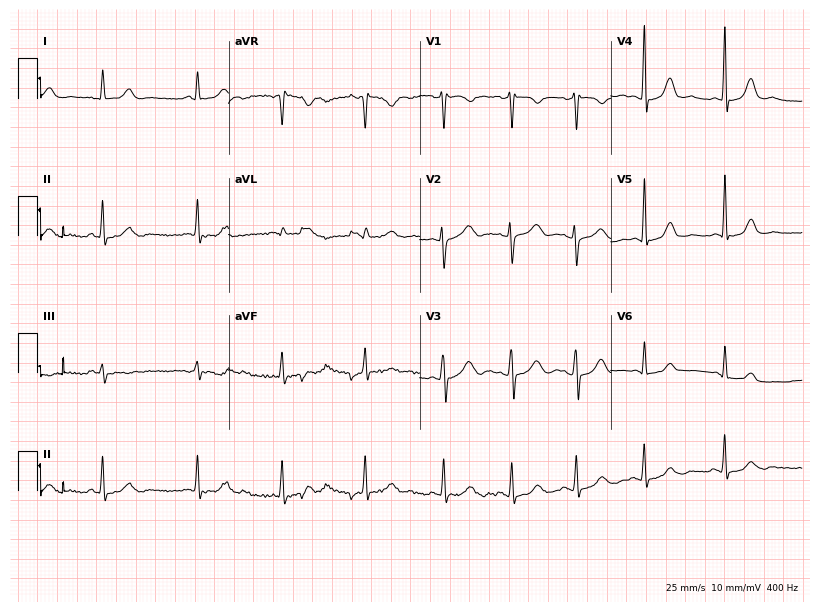
Electrocardiogram (7.8-second recording at 400 Hz), a woman, 40 years old. Of the six screened findings (first-degree AV block, right bundle branch block, left bundle branch block, sinus bradycardia, atrial fibrillation, sinus tachycardia), none is recorded.